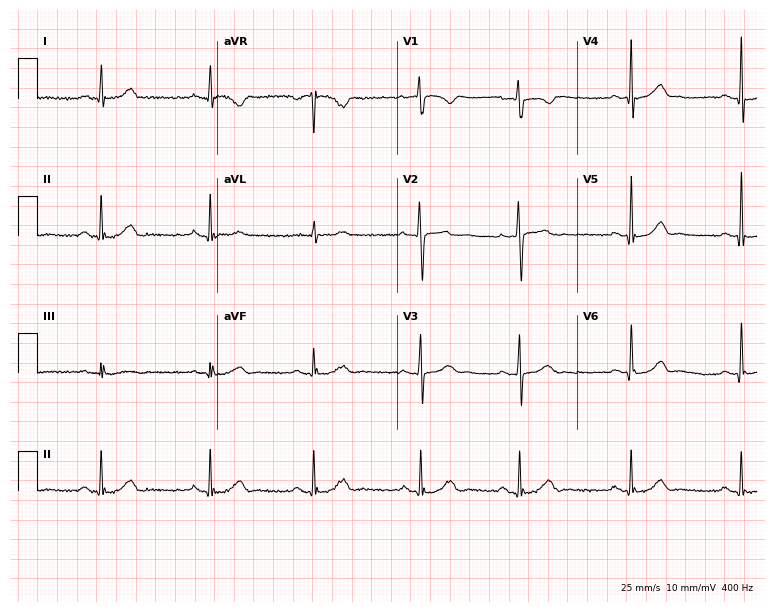
ECG — a 52-year-old man. Labelled as a normal ECG.